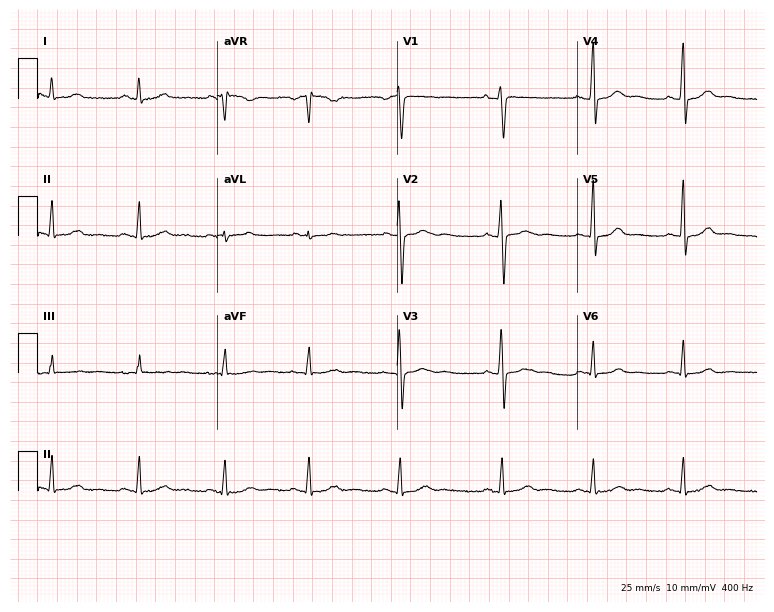
Electrocardiogram, a woman, 33 years old. Of the six screened findings (first-degree AV block, right bundle branch block, left bundle branch block, sinus bradycardia, atrial fibrillation, sinus tachycardia), none is recorded. Only these six findings were labelled.